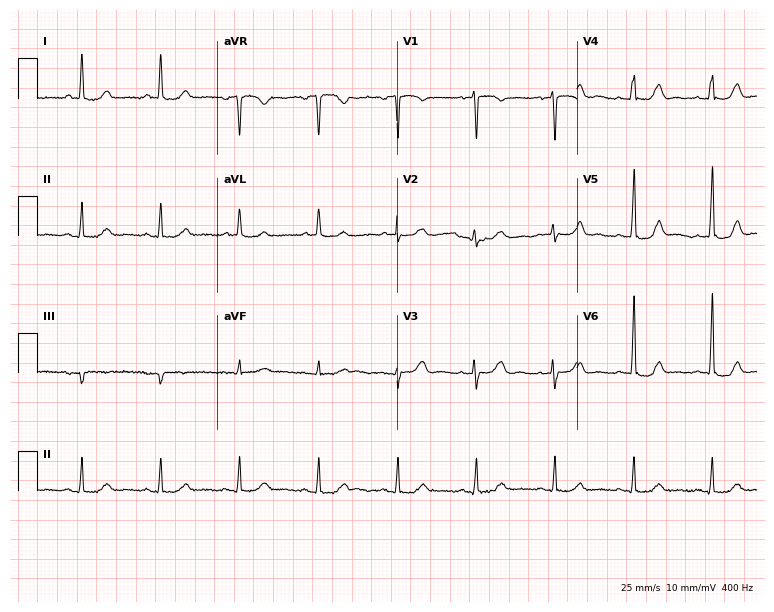
Resting 12-lead electrocardiogram (7.3-second recording at 400 Hz). Patient: a female, 82 years old. None of these six findings is recorded: first-degree AV block, right bundle branch block, left bundle branch block, sinus bradycardia, atrial fibrillation, sinus tachycardia. Only these six findings were labelled.